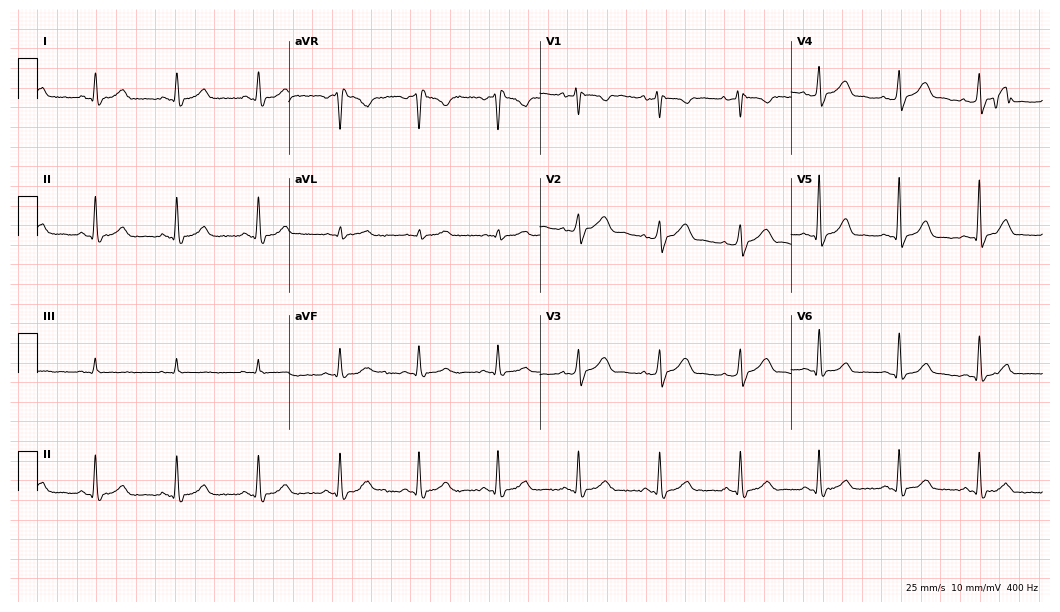
12-lead ECG from a female patient, 45 years old. No first-degree AV block, right bundle branch block, left bundle branch block, sinus bradycardia, atrial fibrillation or sinus tachycardia recorded for this tracing.